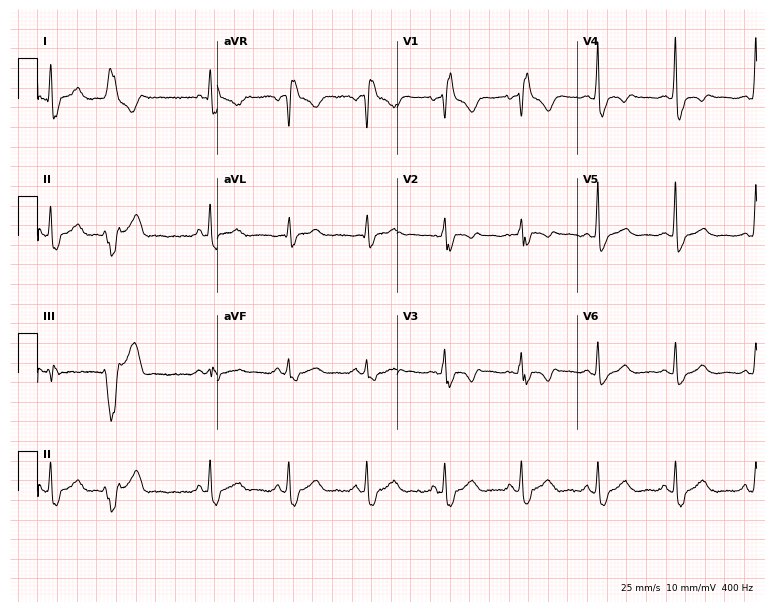
Resting 12-lead electrocardiogram. Patient: a female, 27 years old. None of these six findings is recorded: first-degree AV block, right bundle branch block, left bundle branch block, sinus bradycardia, atrial fibrillation, sinus tachycardia.